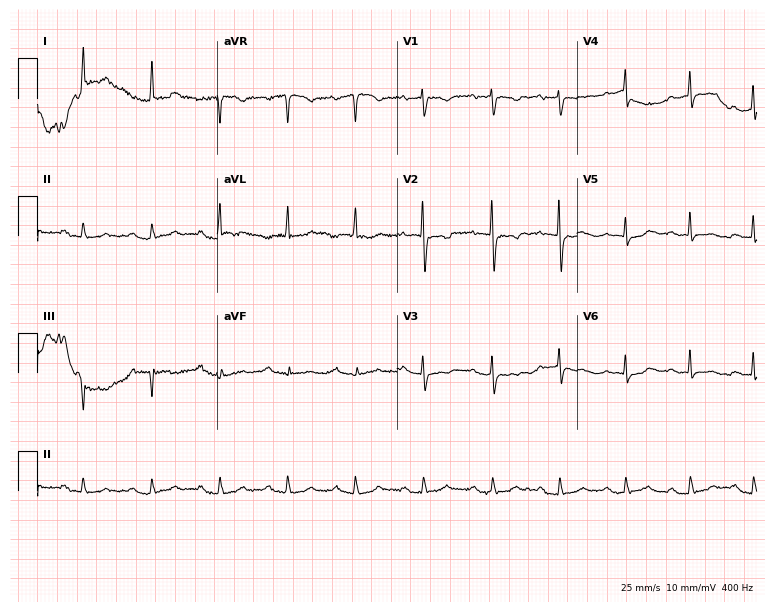
ECG (7.3-second recording at 400 Hz) — a female patient, 78 years old. Screened for six findings — first-degree AV block, right bundle branch block (RBBB), left bundle branch block (LBBB), sinus bradycardia, atrial fibrillation (AF), sinus tachycardia — none is recorded. Findings outside these six are not listed.